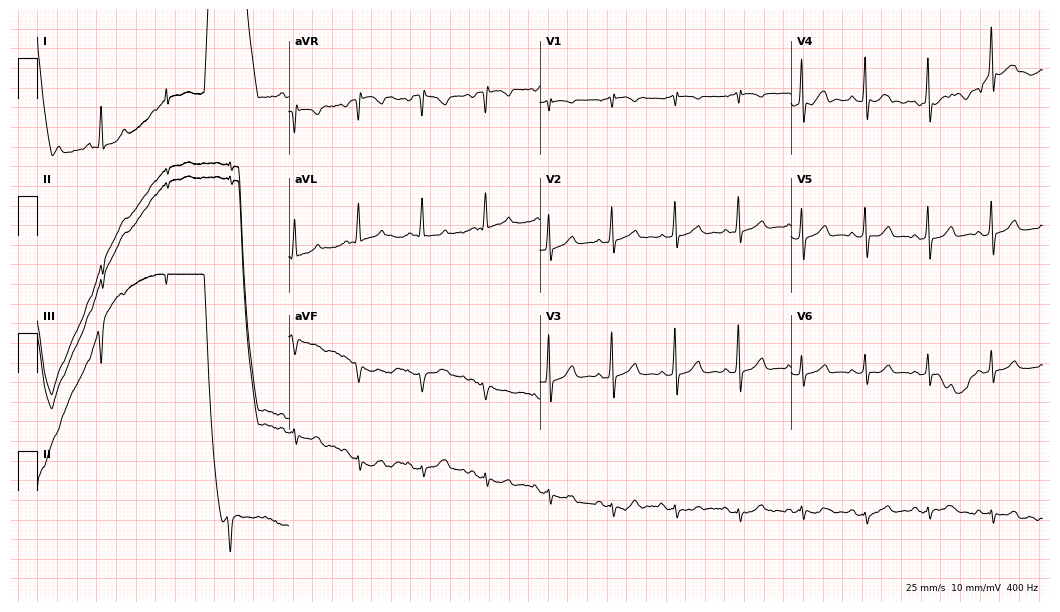
Standard 12-lead ECG recorded from a 68-year-old woman. Read as a normal ECG.